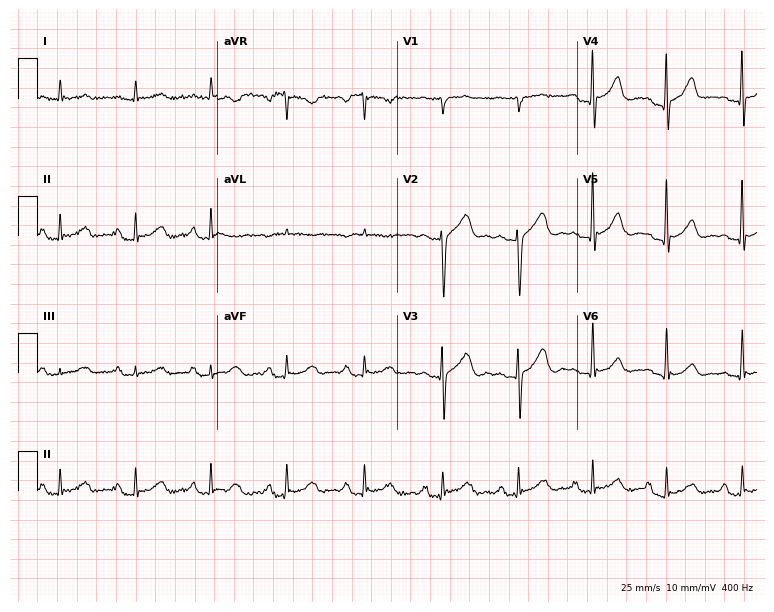
Electrocardiogram, an 83-year-old man. Of the six screened findings (first-degree AV block, right bundle branch block, left bundle branch block, sinus bradycardia, atrial fibrillation, sinus tachycardia), none is recorded.